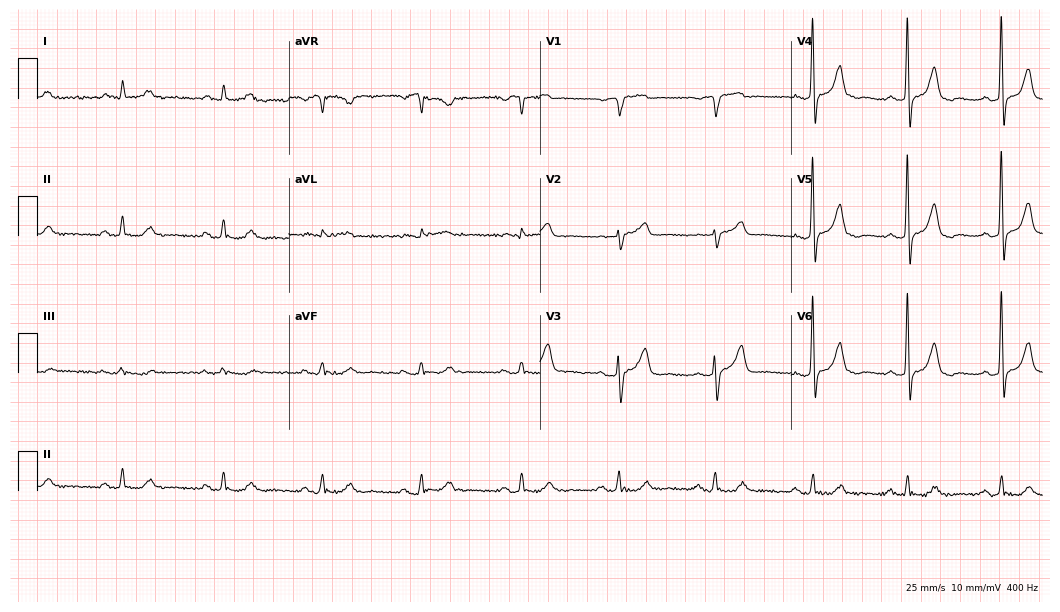
Resting 12-lead electrocardiogram. Patient: a man, 82 years old. None of these six findings is recorded: first-degree AV block, right bundle branch block, left bundle branch block, sinus bradycardia, atrial fibrillation, sinus tachycardia. Other findings, if any, are not listed.